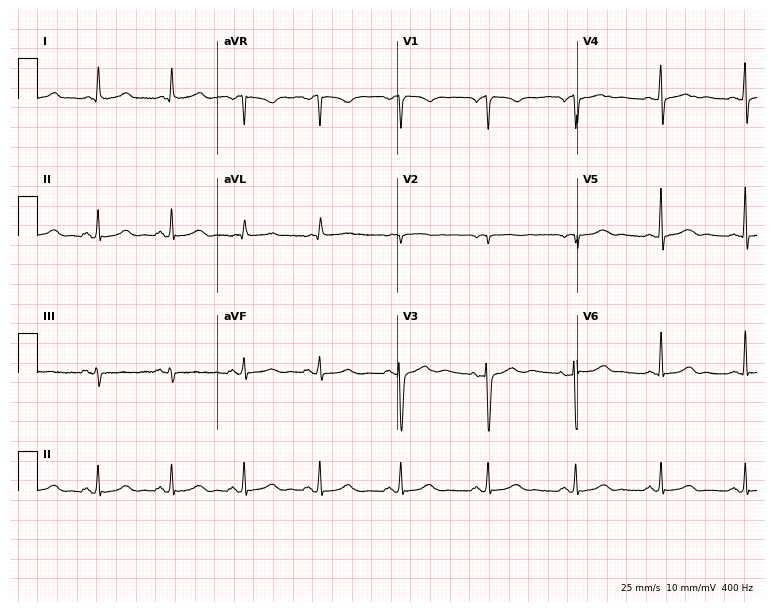
Resting 12-lead electrocardiogram. Patient: a female, 48 years old. Read as a normal ECG.